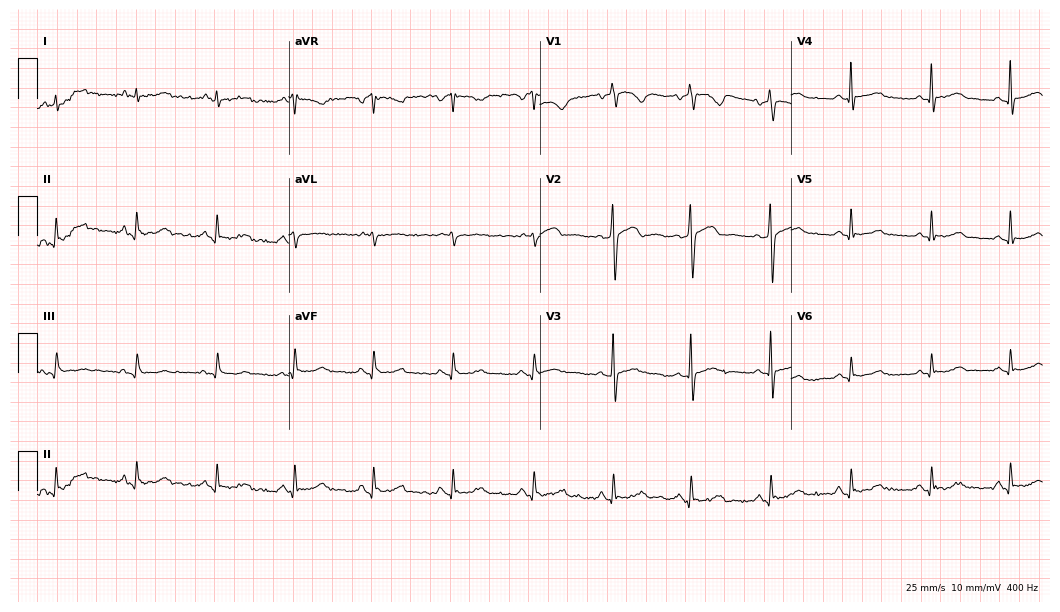
Resting 12-lead electrocardiogram (10.2-second recording at 400 Hz). Patient: a female, 83 years old. None of these six findings is recorded: first-degree AV block, right bundle branch block, left bundle branch block, sinus bradycardia, atrial fibrillation, sinus tachycardia. Findings outside these six are not listed.